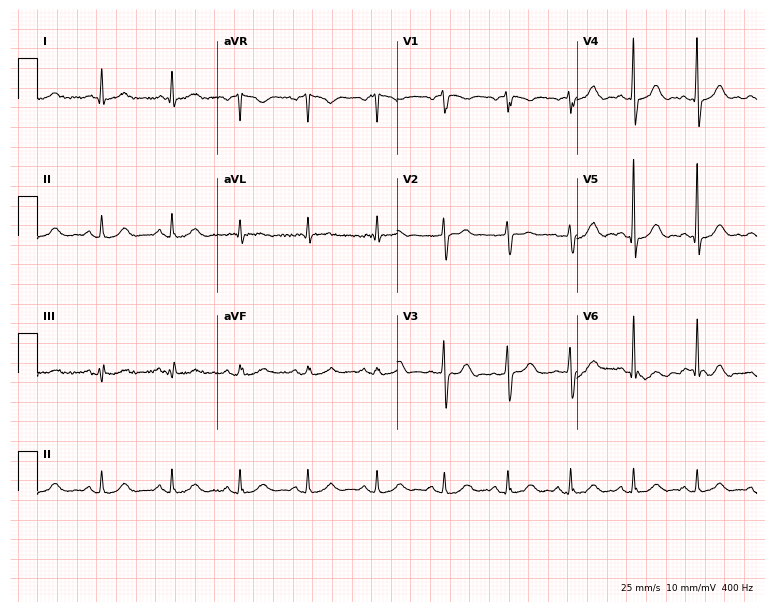
12-lead ECG from a 64-year-old man (7.3-second recording at 400 Hz). Recorded interpretation: within normal limits.